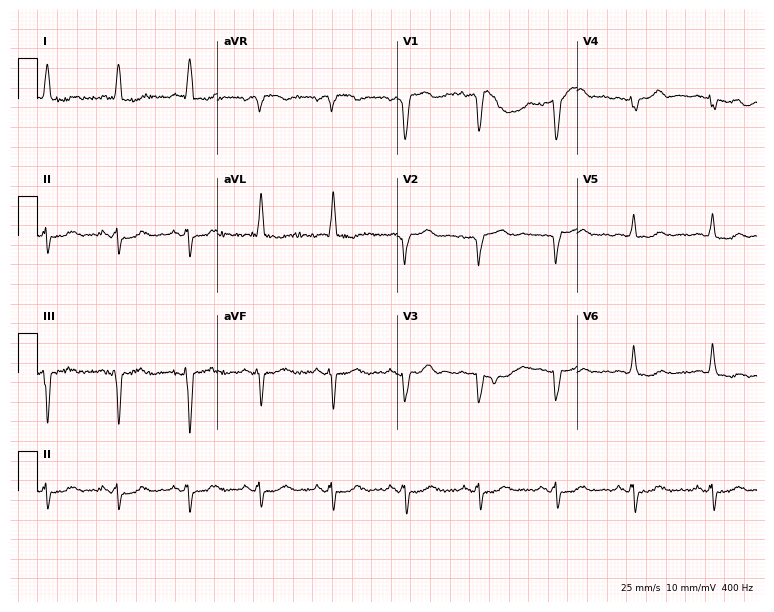
12-lead ECG from a man, 67 years old. No first-degree AV block, right bundle branch block, left bundle branch block, sinus bradycardia, atrial fibrillation or sinus tachycardia recorded for this tracing. Findings outside these six are not listed.